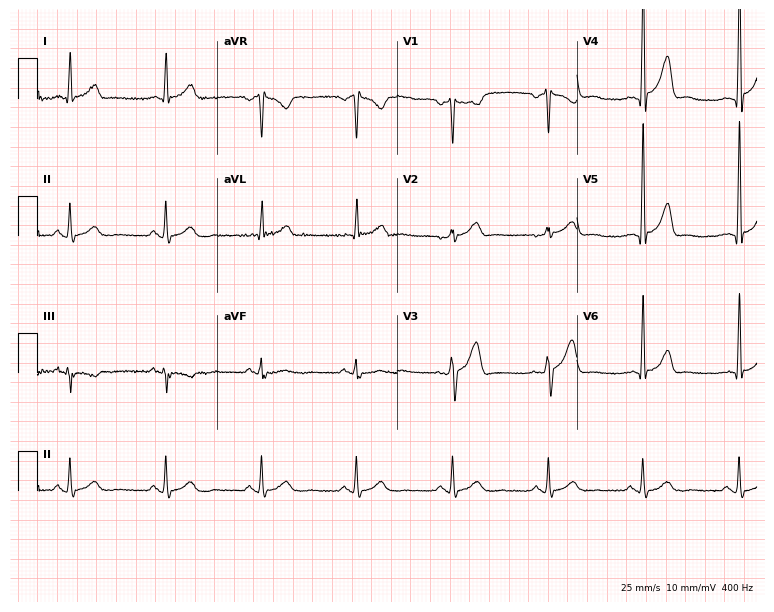
12-lead ECG from a male, 42 years old (7.3-second recording at 400 Hz). No first-degree AV block, right bundle branch block, left bundle branch block, sinus bradycardia, atrial fibrillation or sinus tachycardia recorded for this tracing. Findings outside these six are not listed.